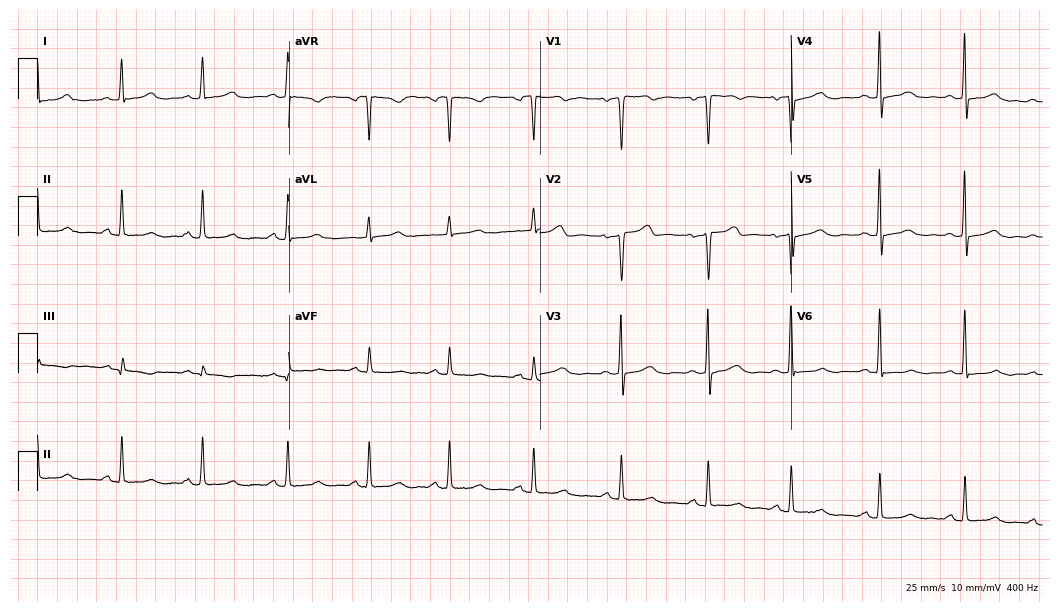
ECG — a female, 42 years old. Screened for six findings — first-degree AV block, right bundle branch block (RBBB), left bundle branch block (LBBB), sinus bradycardia, atrial fibrillation (AF), sinus tachycardia — none is recorded.